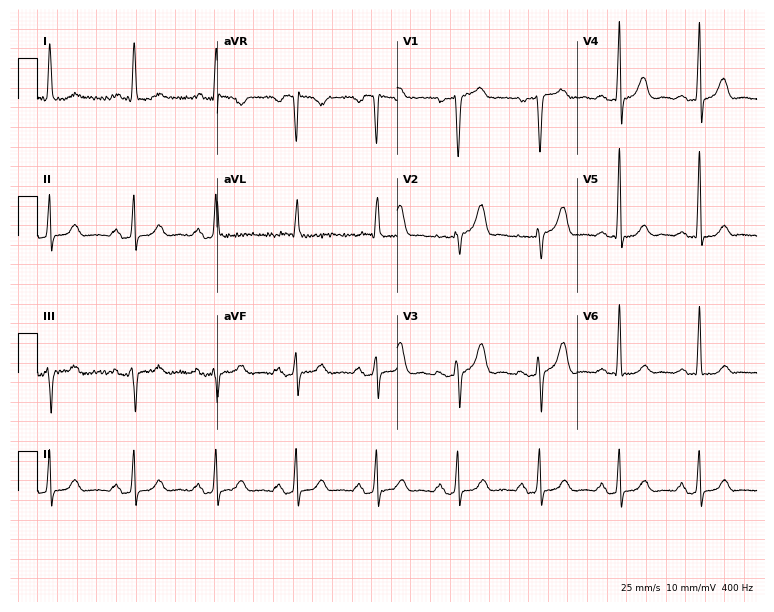
12-lead ECG (7.3-second recording at 400 Hz) from a 54-year-old female. Labelled as a normal ECG.